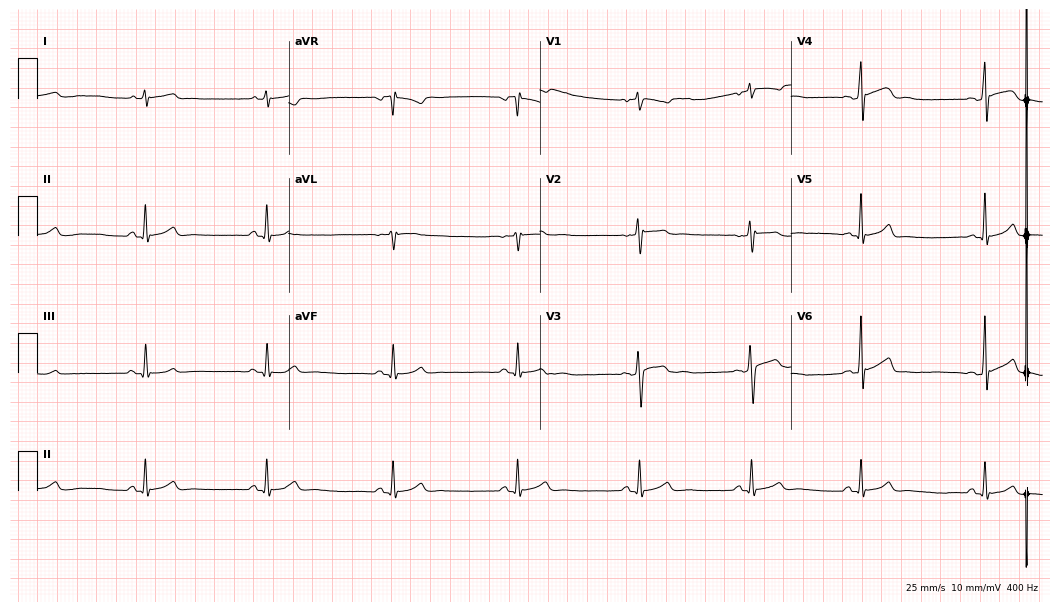
Electrocardiogram, a man, 21 years old. Overall reading on record: normal ECG.